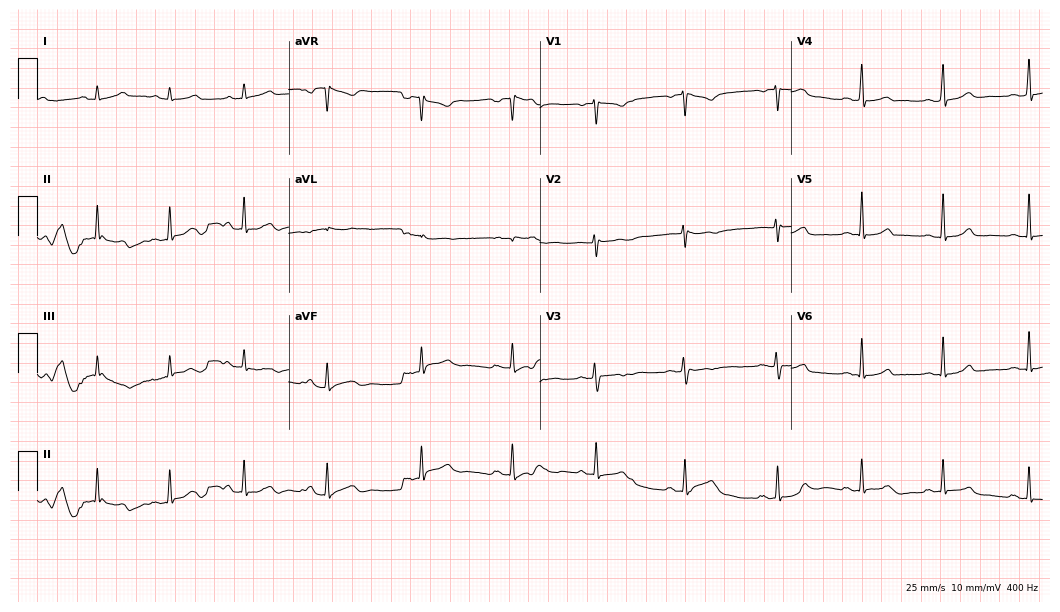
ECG — a female patient, 25 years old. Screened for six findings — first-degree AV block, right bundle branch block, left bundle branch block, sinus bradycardia, atrial fibrillation, sinus tachycardia — none is recorded.